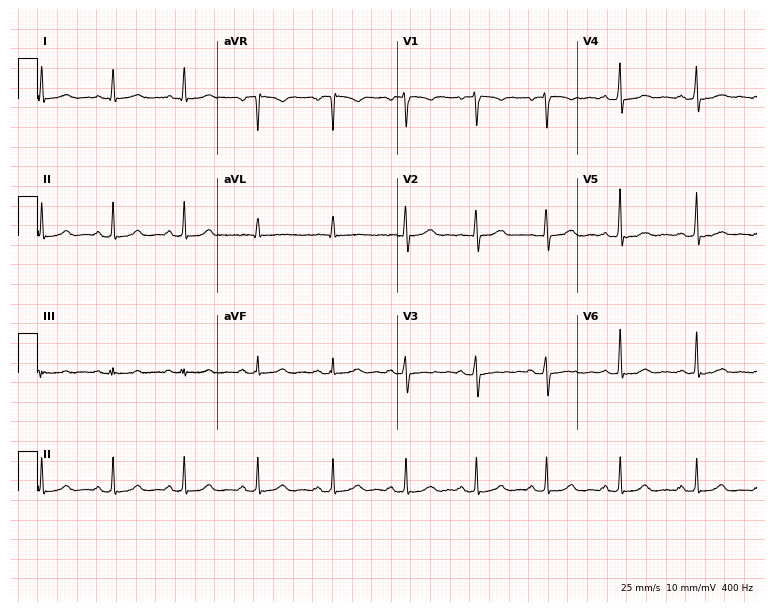
Resting 12-lead electrocardiogram. Patient: a female, 46 years old. Read as a normal ECG.